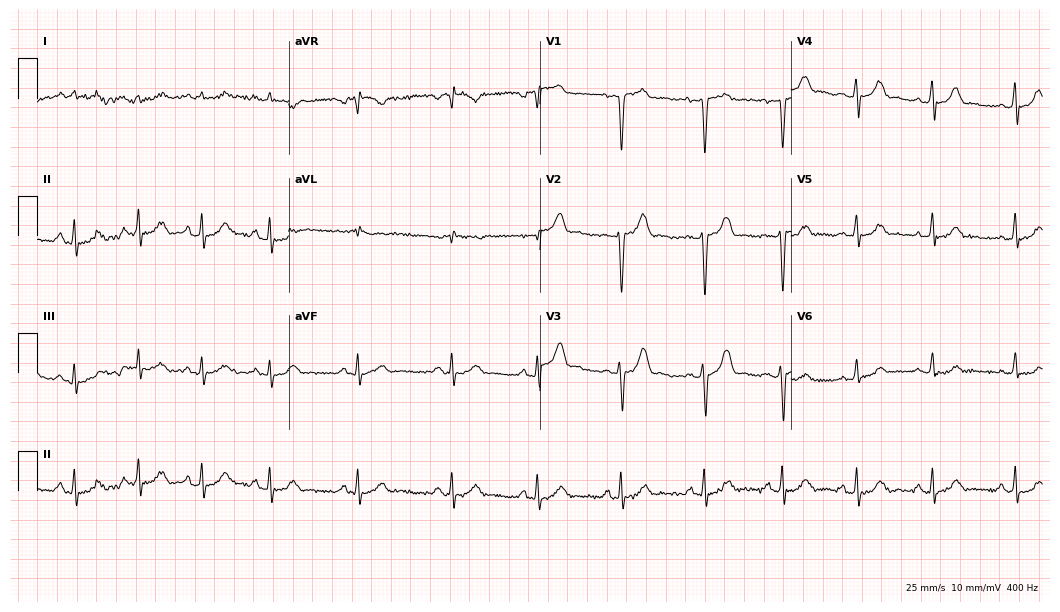
Resting 12-lead electrocardiogram. Patient: a 43-year-old male. None of these six findings is recorded: first-degree AV block, right bundle branch block (RBBB), left bundle branch block (LBBB), sinus bradycardia, atrial fibrillation (AF), sinus tachycardia. Other findings, if any, are not listed.